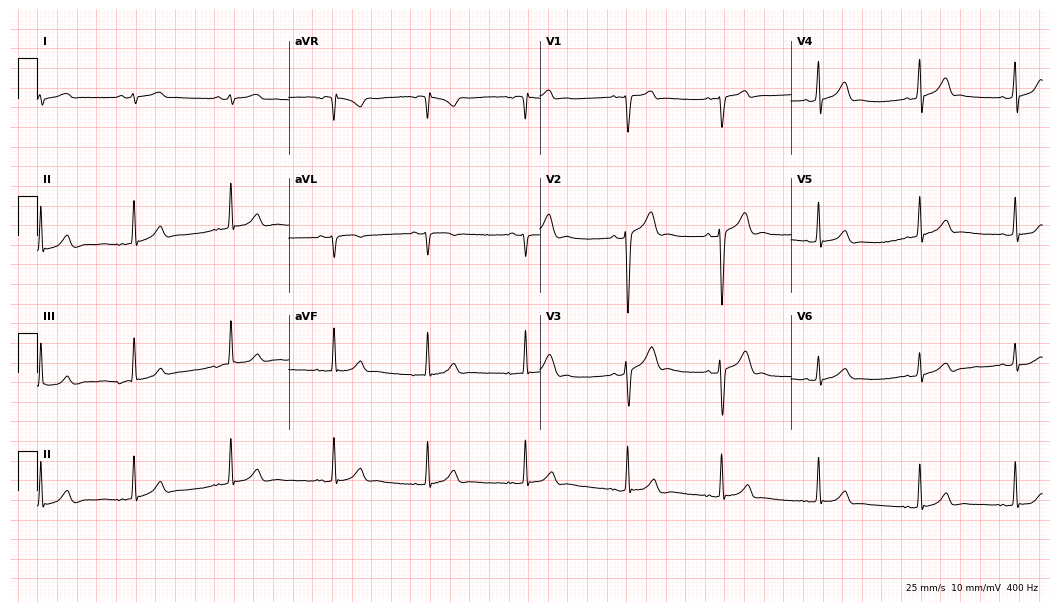
12-lead ECG (10.2-second recording at 400 Hz) from a 24-year-old male. Screened for six findings — first-degree AV block, right bundle branch block, left bundle branch block, sinus bradycardia, atrial fibrillation, sinus tachycardia — none is recorded.